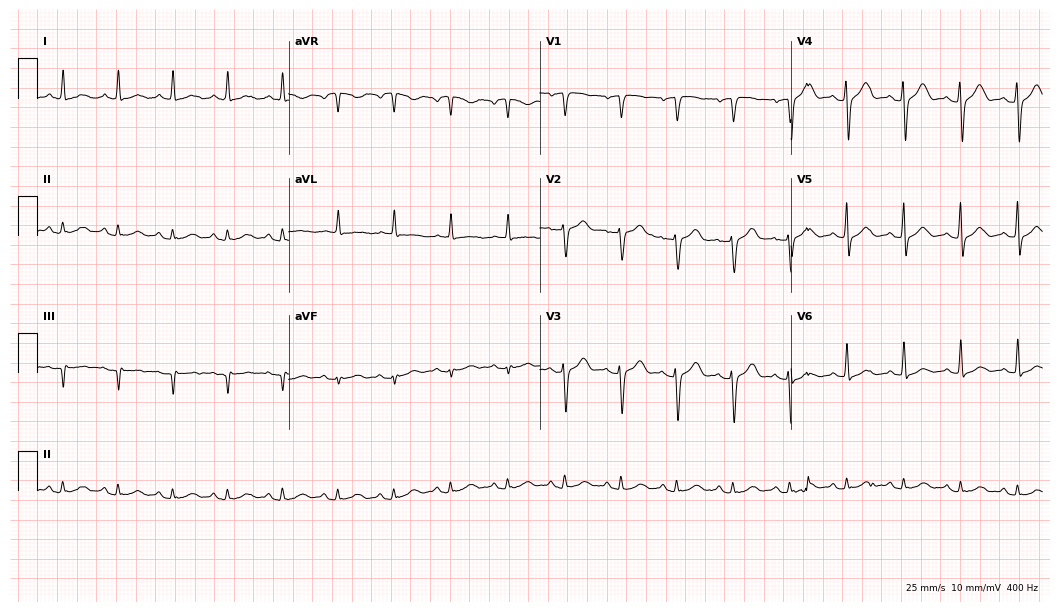
ECG (10.2-second recording at 400 Hz) — a 69-year-old man. Findings include sinus tachycardia (a sinus rate of 100 beats per minute or more).